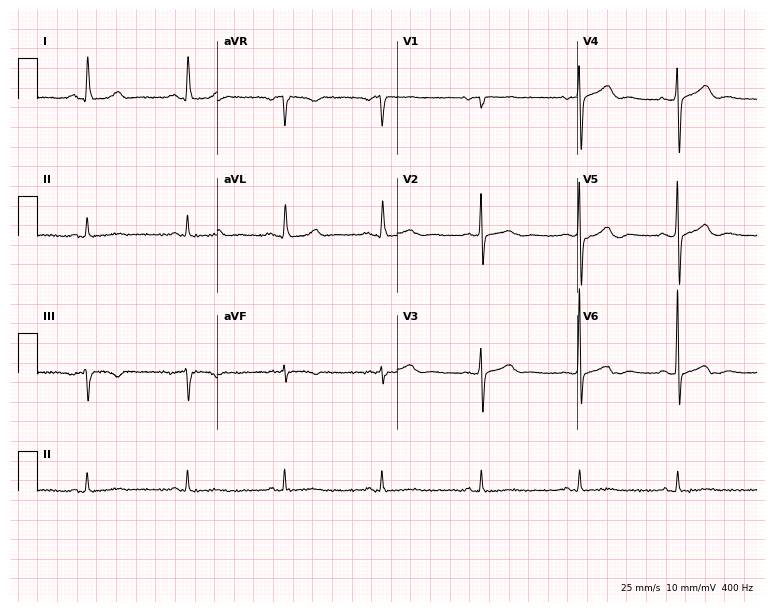
12-lead ECG from a female patient, 81 years old (7.3-second recording at 400 Hz). No first-degree AV block, right bundle branch block, left bundle branch block, sinus bradycardia, atrial fibrillation or sinus tachycardia recorded for this tracing. Other findings, if any, are not listed.